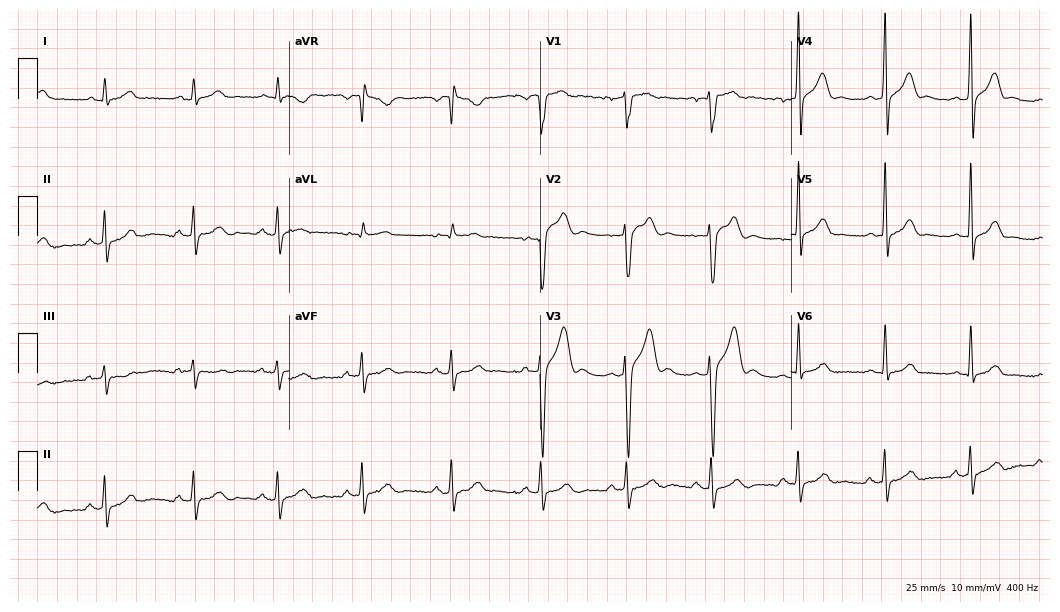
12-lead ECG from a 30-year-old male patient. Labelled as a normal ECG.